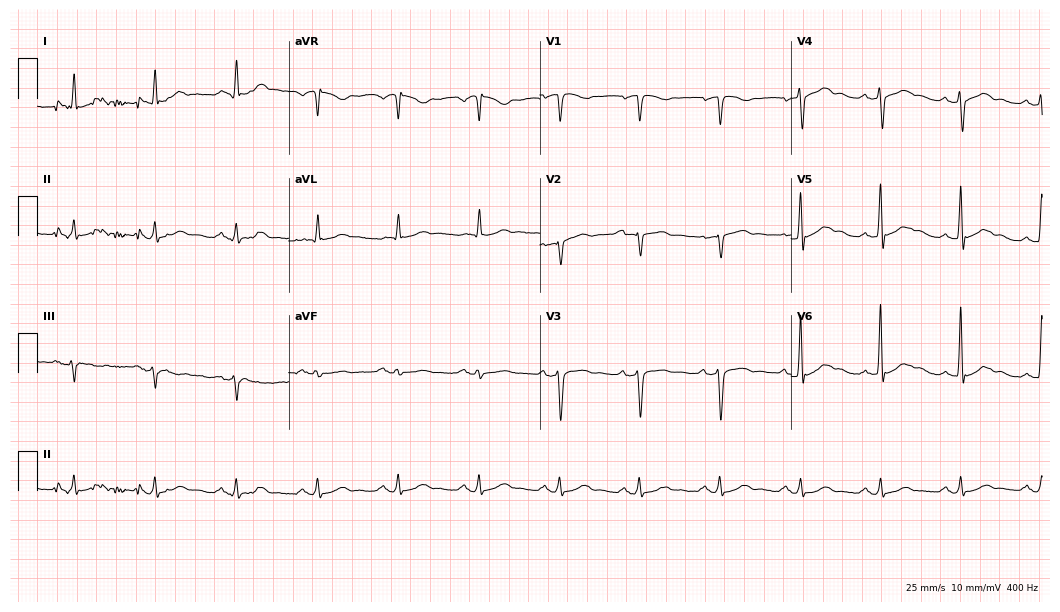
Electrocardiogram, a man, 63 years old. Of the six screened findings (first-degree AV block, right bundle branch block (RBBB), left bundle branch block (LBBB), sinus bradycardia, atrial fibrillation (AF), sinus tachycardia), none is recorded.